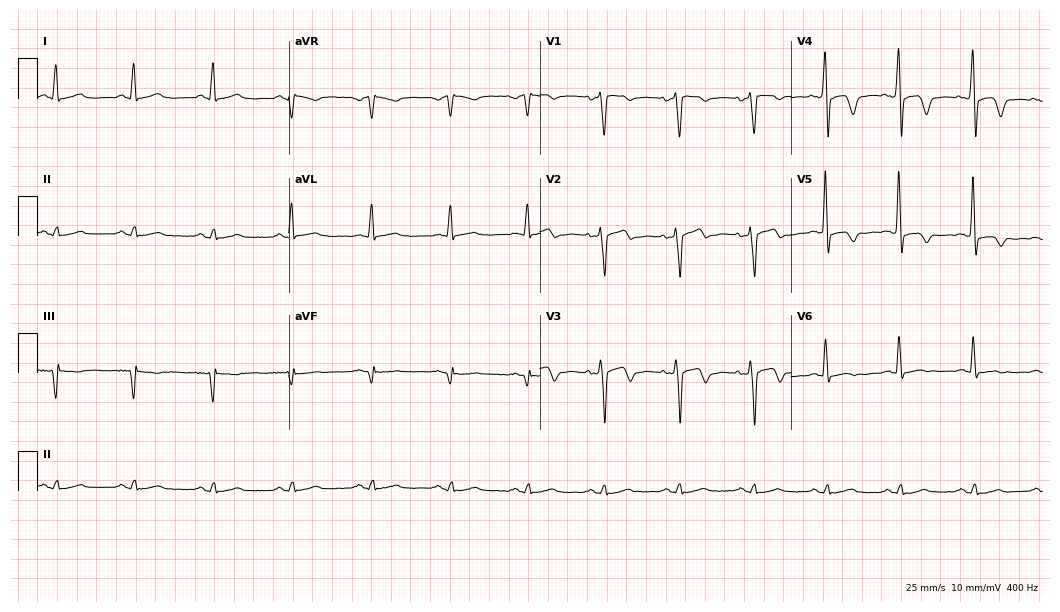
12-lead ECG from a male, 62 years old. Screened for six findings — first-degree AV block, right bundle branch block, left bundle branch block, sinus bradycardia, atrial fibrillation, sinus tachycardia — none is recorded.